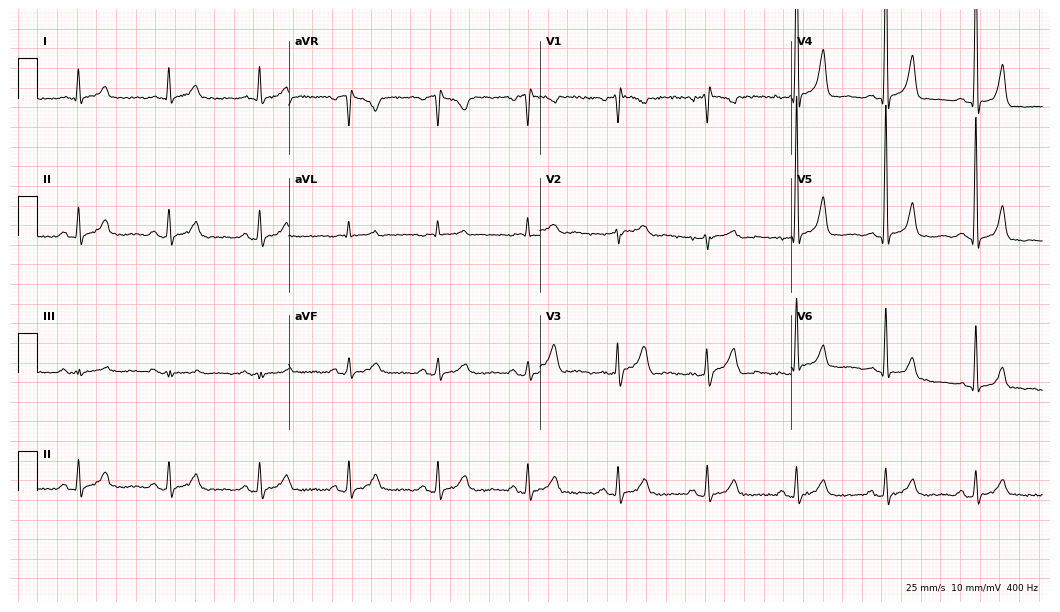
ECG (10.2-second recording at 400 Hz) — a 67-year-old man. Screened for six findings — first-degree AV block, right bundle branch block, left bundle branch block, sinus bradycardia, atrial fibrillation, sinus tachycardia — none is recorded. Other findings, if any, are not listed.